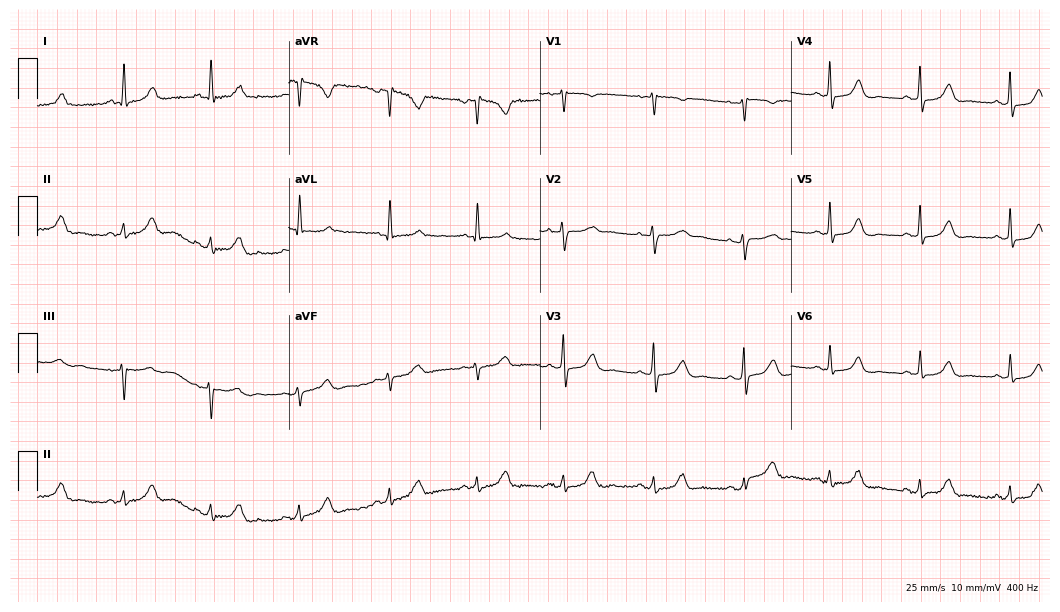
Standard 12-lead ECG recorded from a female, 39 years old (10.2-second recording at 400 Hz). None of these six findings is recorded: first-degree AV block, right bundle branch block, left bundle branch block, sinus bradycardia, atrial fibrillation, sinus tachycardia.